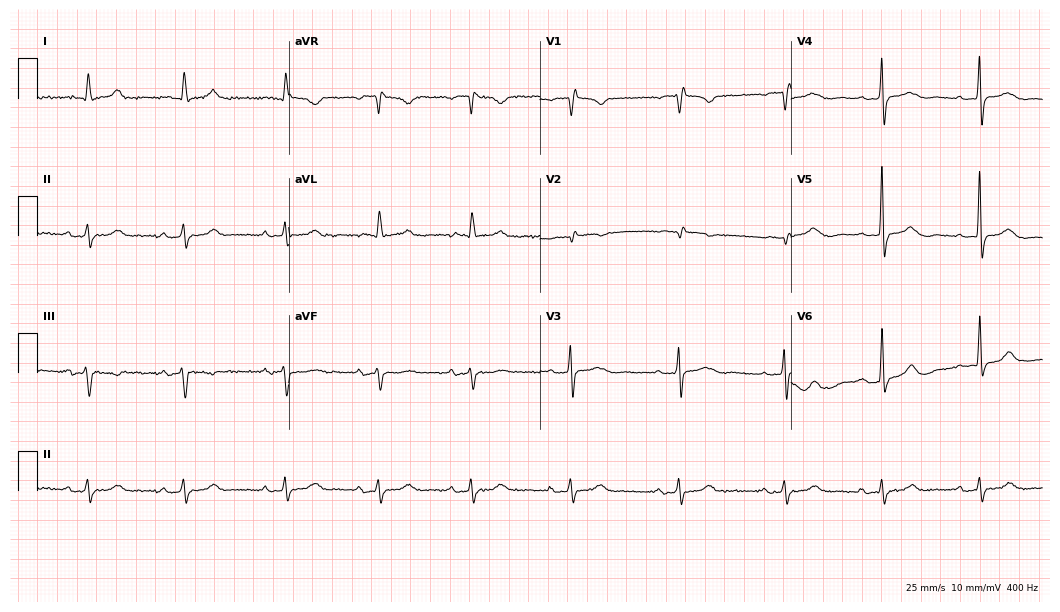
12-lead ECG from a woman, 79 years old (10.2-second recording at 400 Hz). Shows first-degree AV block.